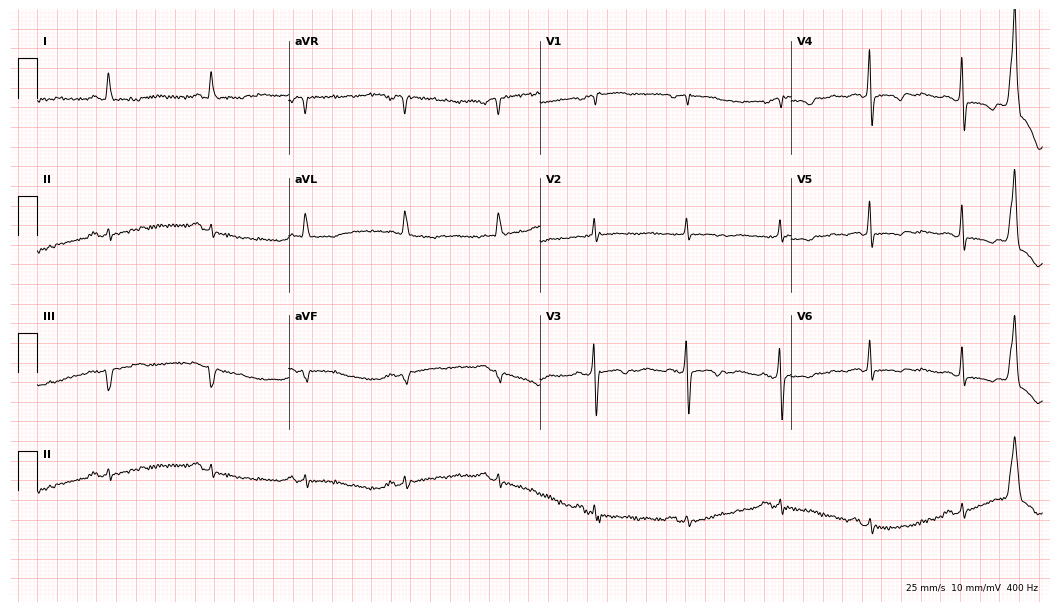
Resting 12-lead electrocardiogram. Patient: a female, 56 years old. Read as a normal ECG.